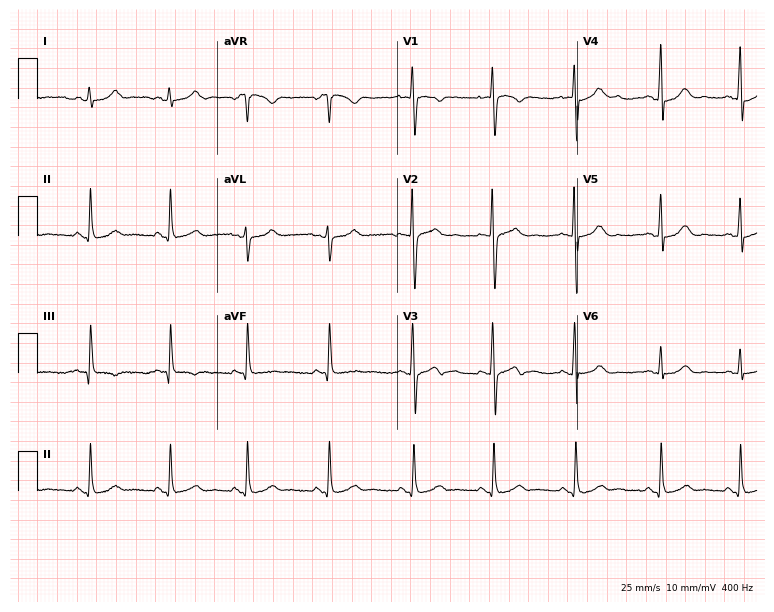
12-lead ECG from a female, 33 years old. Labelled as a normal ECG.